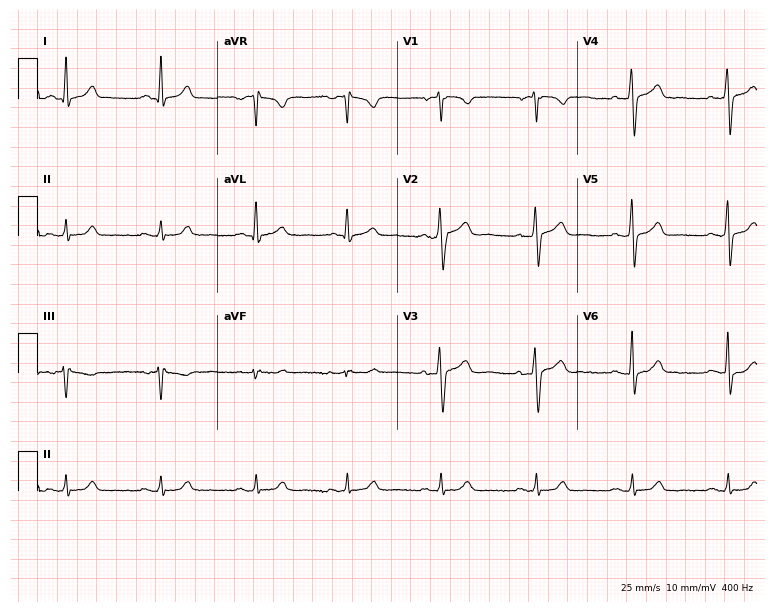
Resting 12-lead electrocardiogram (7.3-second recording at 400 Hz). Patient: a 56-year-old male. Read as a normal ECG.